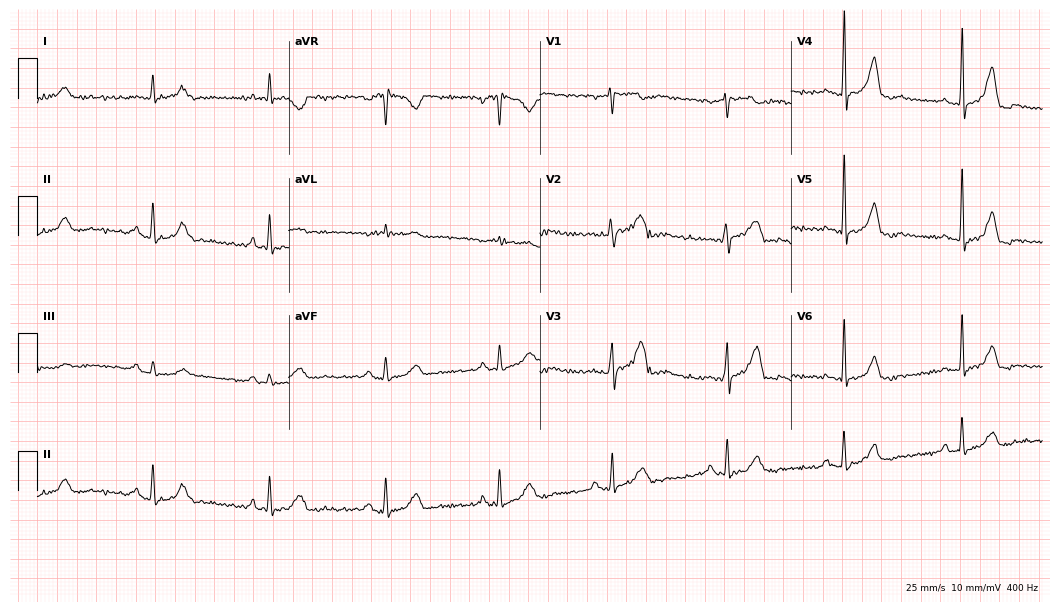
Electrocardiogram, a man, 61 years old. Of the six screened findings (first-degree AV block, right bundle branch block, left bundle branch block, sinus bradycardia, atrial fibrillation, sinus tachycardia), none is recorded.